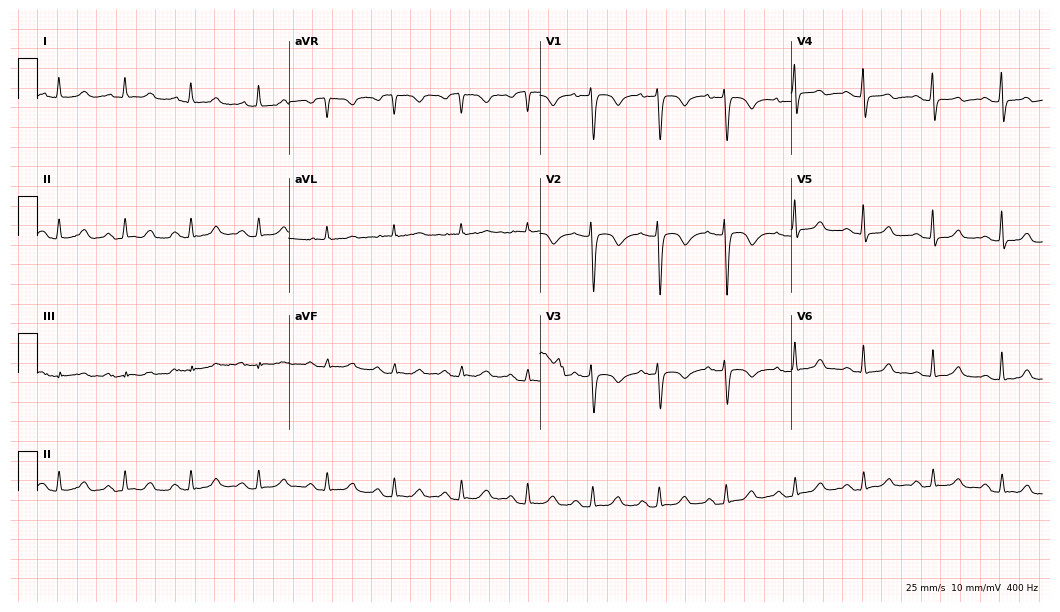
Standard 12-lead ECG recorded from a female patient, 64 years old. Read as a normal ECG.